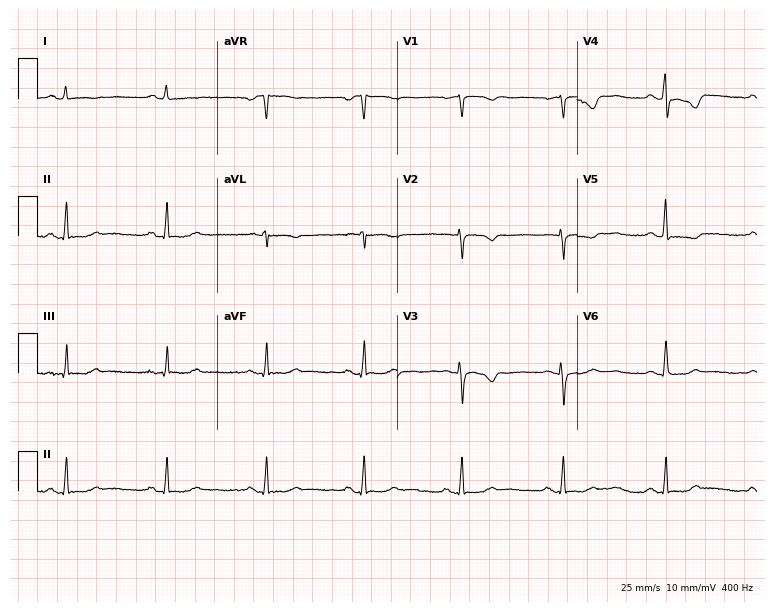
12-lead ECG from a 50-year-old woman (7.3-second recording at 400 Hz). No first-degree AV block, right bundle branch block (RBBB), left bundle branch block (LBBB), sinus bradycardia, atrial fibrillation (AF) or sinus tachycardia recorded for this tracing. Findings outside these six are not listed.